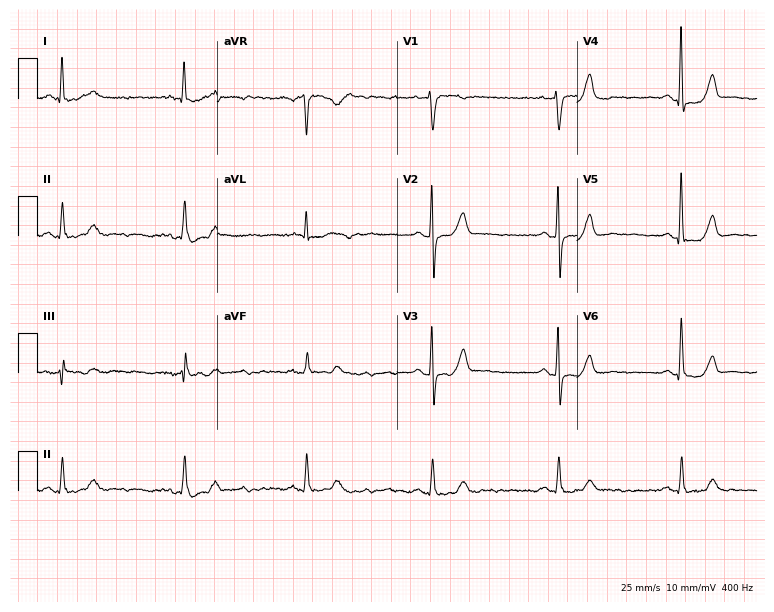
12-lead ECG from a 63-year-old woman. Shows sinus bradycardia (a sinus rate of 50 beats per minute or less).